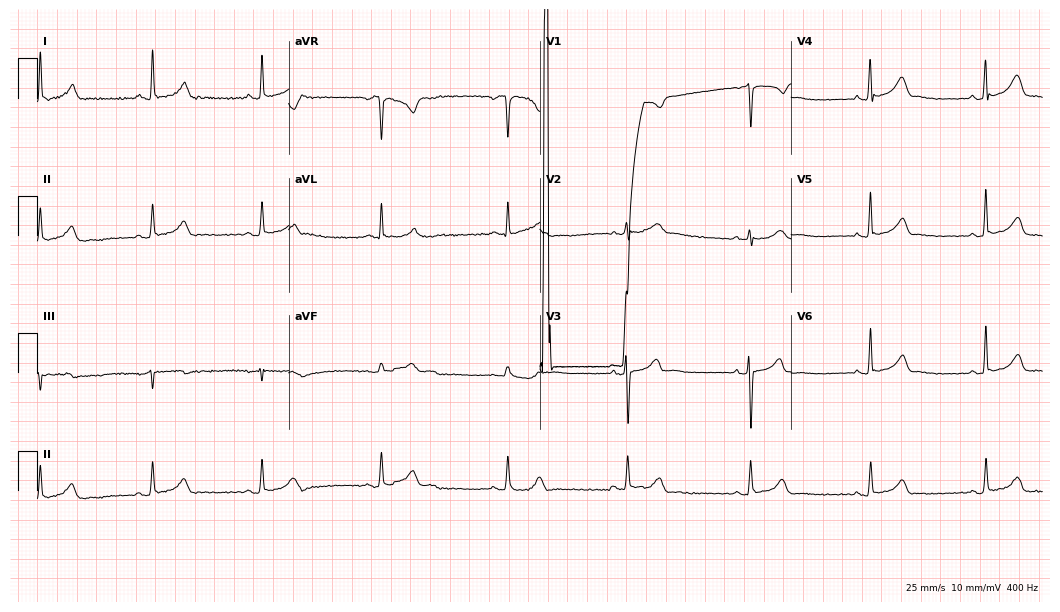
Resting 12-lead electrocardiogram. Patient: a female, 40 years old. Read as a normal ECG.